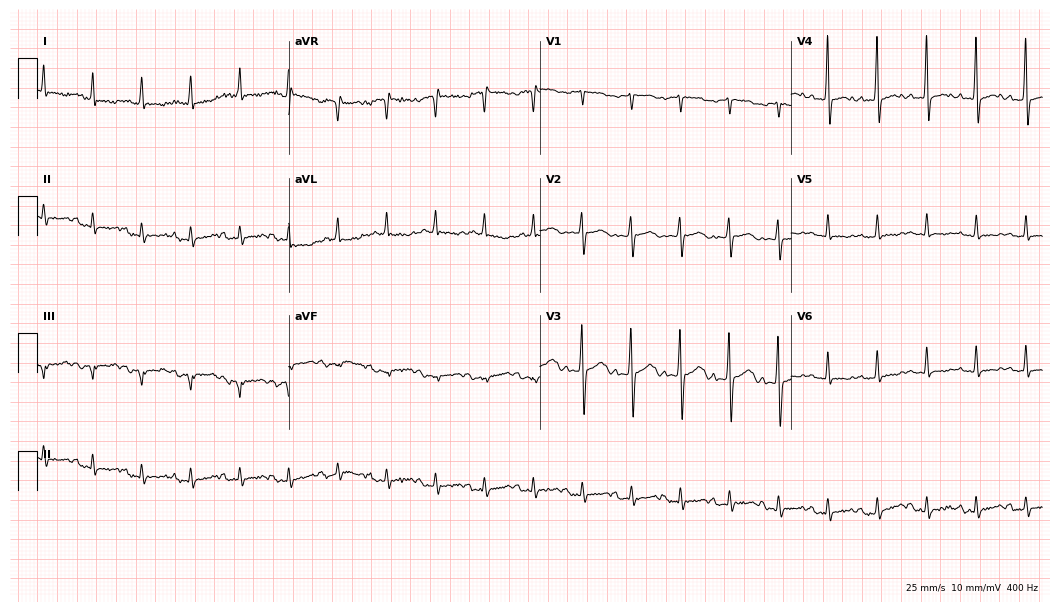
ECG (10.2-second recording at 400 Hz) — a female patient, 72 years old. Screened for six findings — first-degree AV block, right bundle branch block (RBBB), left bundle branch block (LBBB), sinus bradycardia, atrial fibrillation (AF), sinus tachycardia — none is recorded.